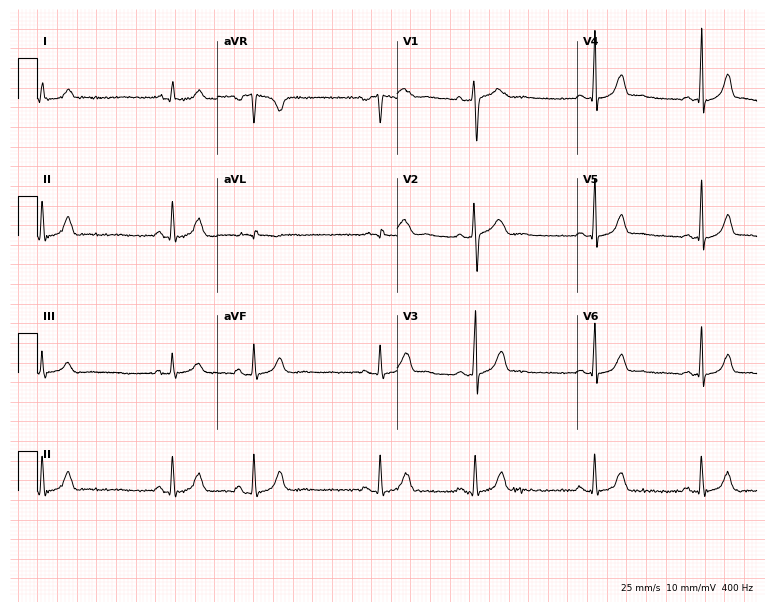
Electrocardiogram (7.3-second recording at 400 Hz), an 18-year-old female patient. Overall reading on record: normal ECG.